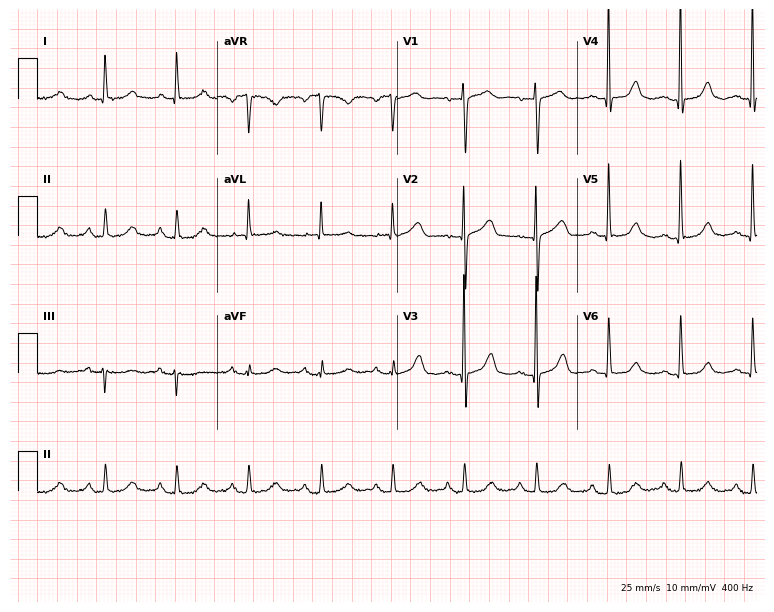
12-lead ECG from a 77-year-old female (7.3-second recording at 400 Hz). Recorded interpretation: within normal limits.